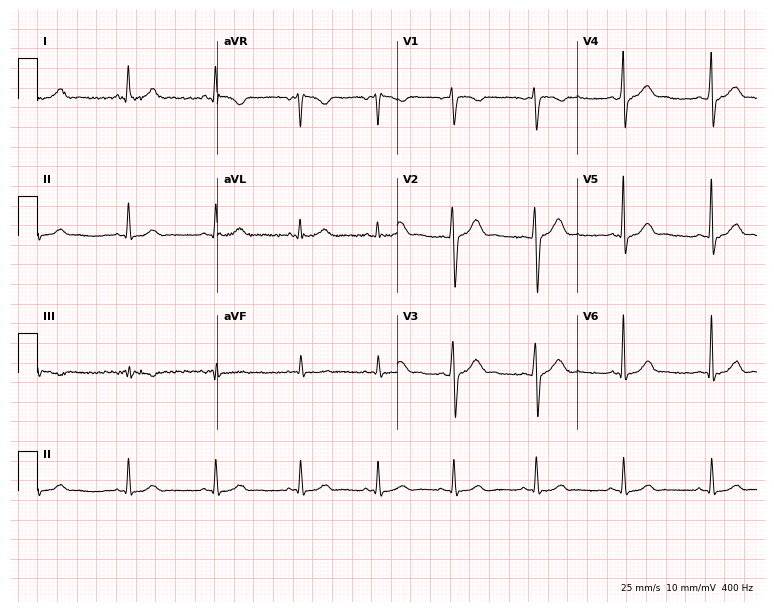
12-lead ECG (7.3-second recording at 400 Hz) from a 24-year-old male patient. Screened for six findings — first-degree AV block, right bundle branch block, left bundle branch block, sinus bradycardia, atrial fibrillation, sinus tachycardia — none is recorded. Other findings, if any, are not listed.